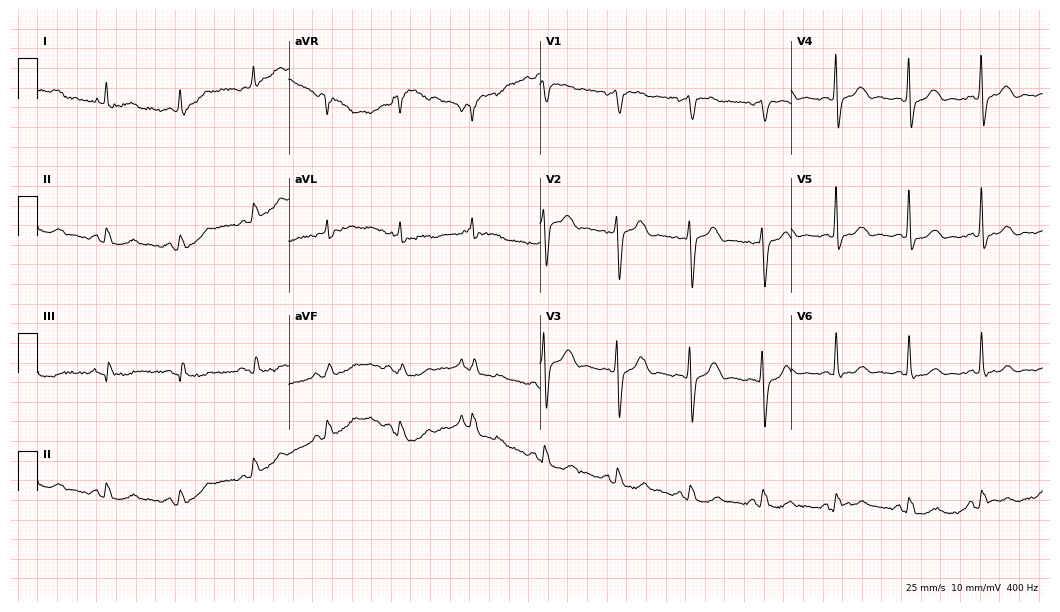
Standard 12-lead ECG recorded from a male patient, 73 years old. None of these six findings is recorded: first-degree AV block, right bundle branch block, left bundle branch block, sinus bradycardia, atrial fibrillation, sinus tachycardia. Only these six findings were labelled.